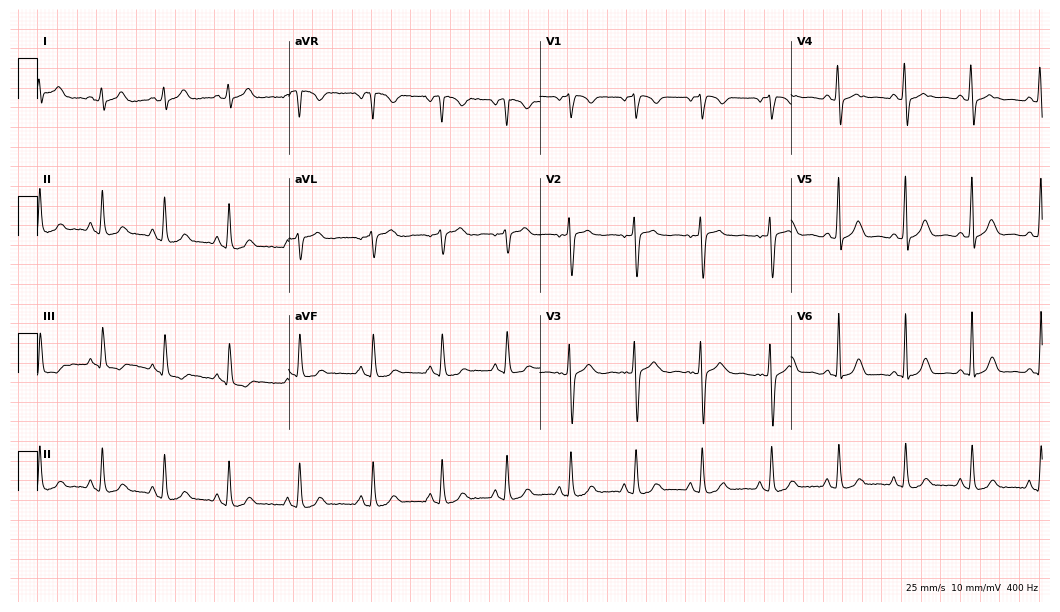
Electrocardiogram (10.2-second recording at 400 Hz), a 34-year-old female patient. Overall reading on record: normal ECG.